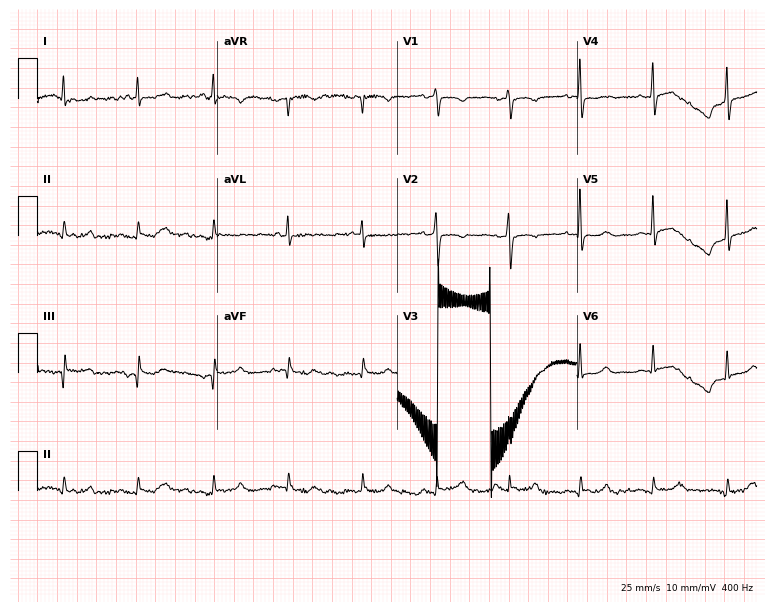
Standard 12-lead ECG recorded from a female, 83 years old. None of these six findings is recorded: first-degree AV block, right bundle branch block, left bundle branch block, sinus bradycardia, atrial fibrillation, sinus tachycardia. Other findings, if any, are not listed.